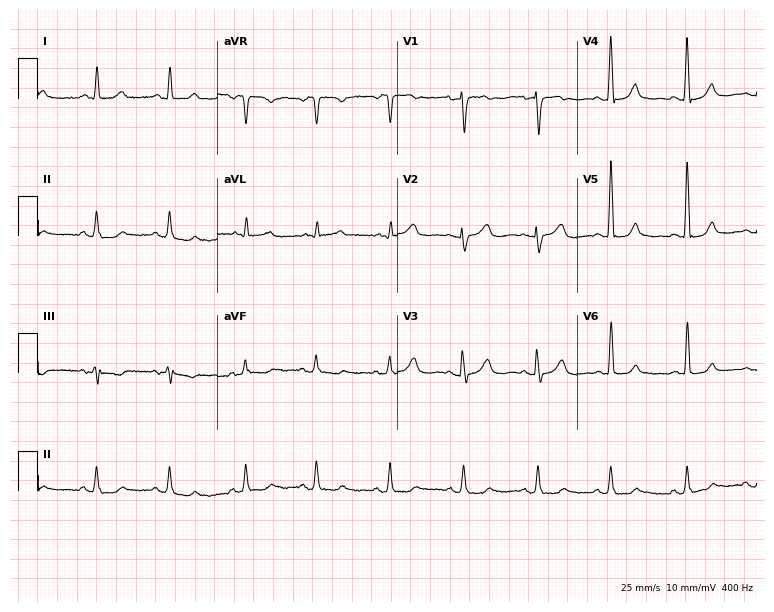
12-lead ECG from a 62-year-old female patient. Screened for six findings — first-degree AV block, right bundle branch block, left bundle branch block, sinus bradycardia, atrial fibrillation, sinus tachycardia — none is recorded. Other findings, if any, are not listed.